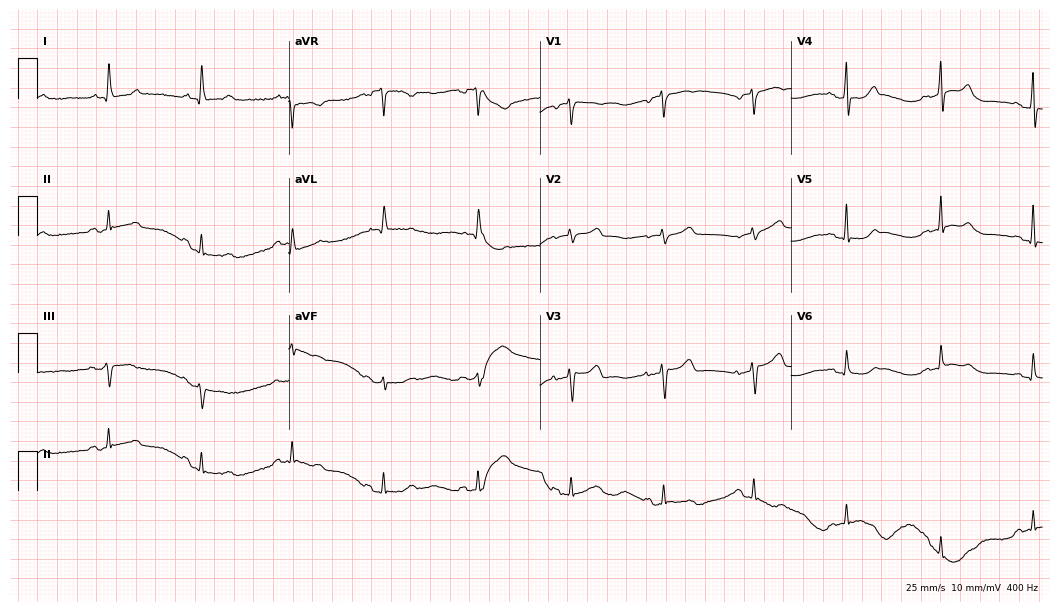
Electrocardiogram, a 70-year-old female patient. Of the six screened findings (first-degree AV block, right bundle branch block (RBBB), left bundle branch block (LBBB), sinus bradycardia, atrial fibrillation (AF), sinus tachycardia), none is recorded. Other findings, if any, are not listed.